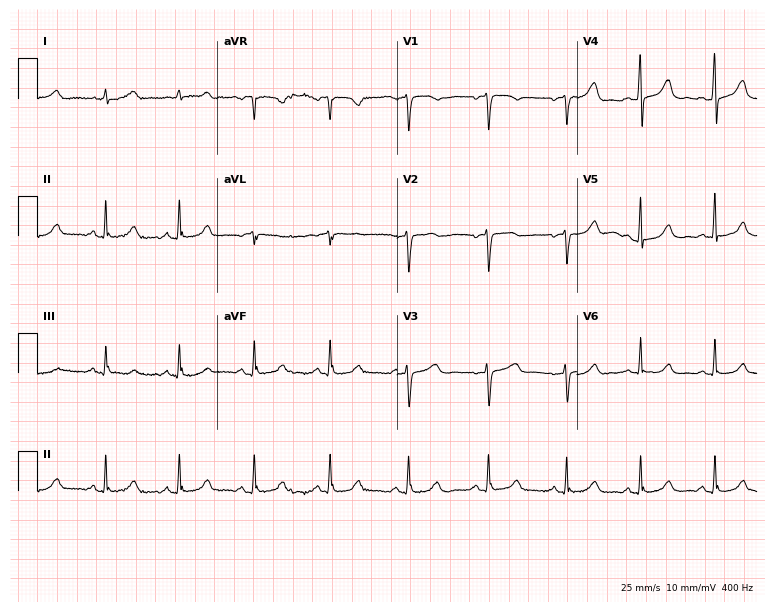
12-lead ECG (7.3-second recording at 400 Hz) from a 51-year-old female patient. Labelled as a normal ECG.